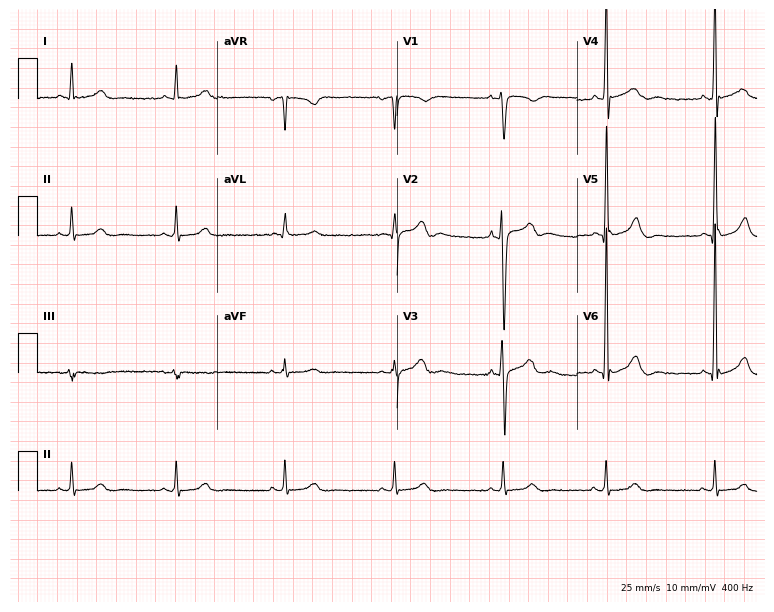
Standard 12-lead ECG recorded from a 60-year-old male. Read as a normal ECG.